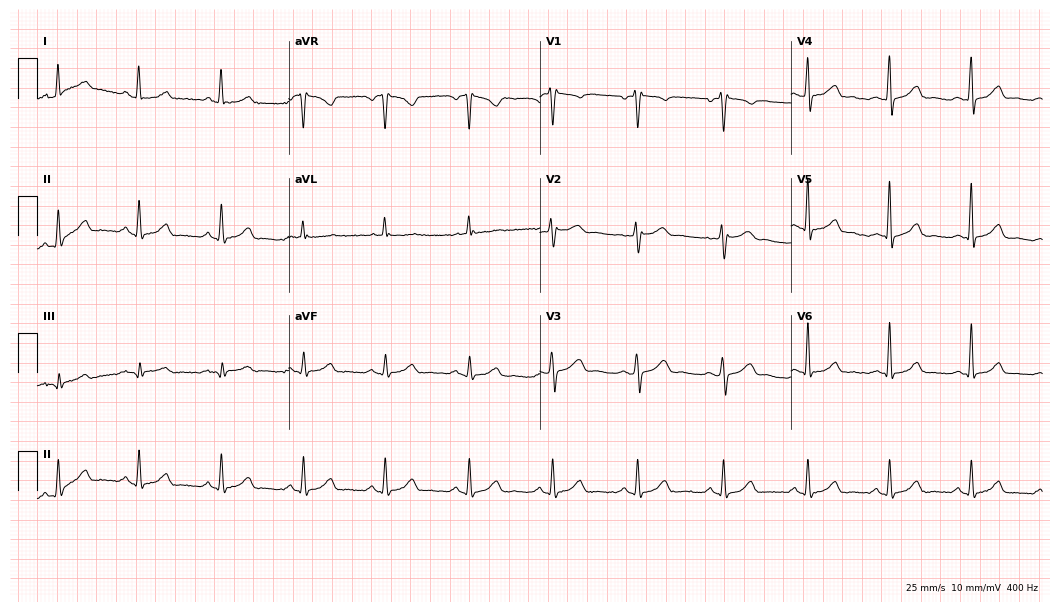
12-lead ECG from a 42-year-old woman. Labelled as a normal ECG.